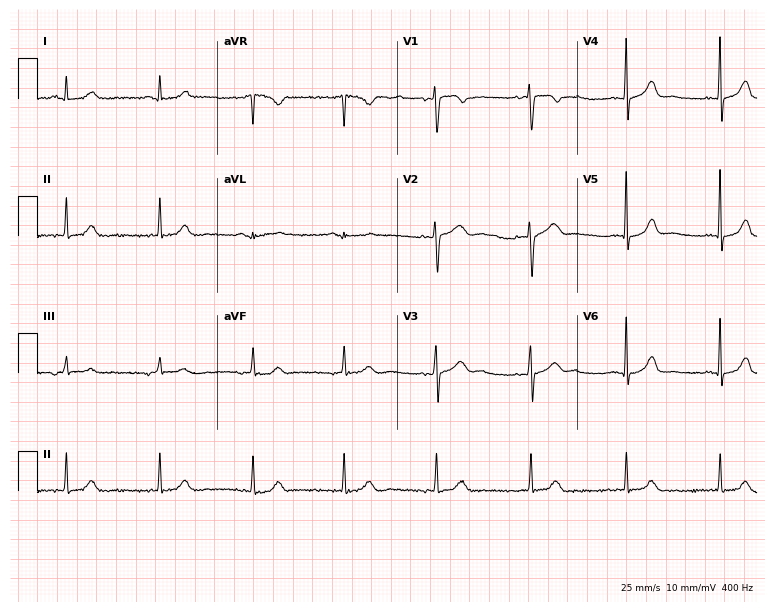
ECG (7.3-second recording at 400 Hz) — a female, 51 years old. Labelled as a normal ECG.